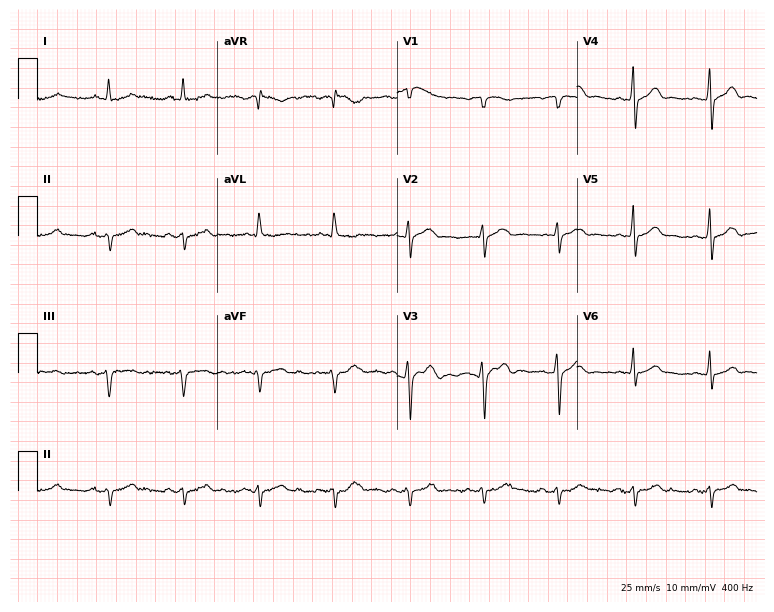
ECG (7.3-second recording at 400 Hz) — a 59-year-old male patient. Screened for six findings — first-degree AV block, right bundle branch block, left bundle branch block, sinus bradycardia, atrial fibrillation, sinus tachycardia — none is recorded.